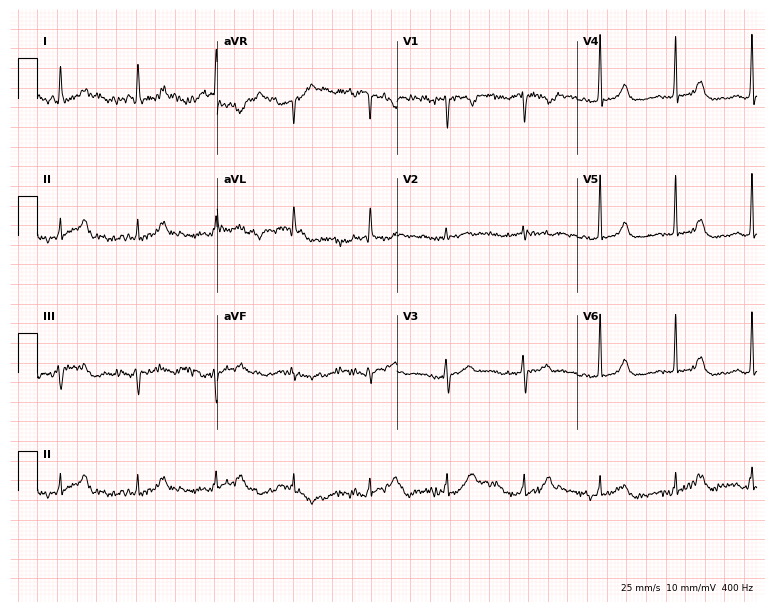
12-lead ECG from a 79-year-old woman. Screened for six findings — first-degree AV block, right bundle branch block, left bundle branch block, sinus bradycardia, atrial fibrillation, sinus tachycardia — none is recorded. Only these six findings were labelled.